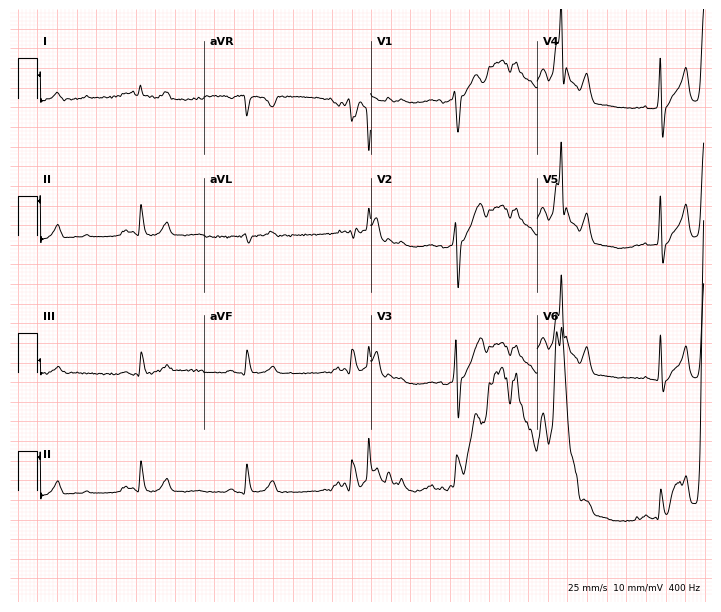
12-lead ECG from a man, 44 years old. No first-degree AV block, right bundle branch block (RBBB), left bundle branch block (LBBB), sinus bradycardia, atrial fibrillation (AF) or sinus tachycardia recorded for this tracing.